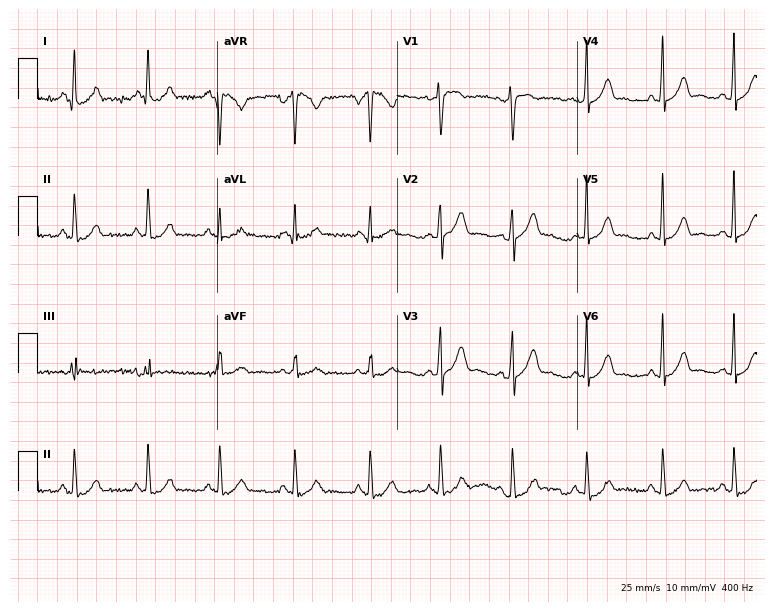
12-lead ECG (7.3-second recording at 400 Hz) from a female, 22 years old. Labelled as a normal ECG.